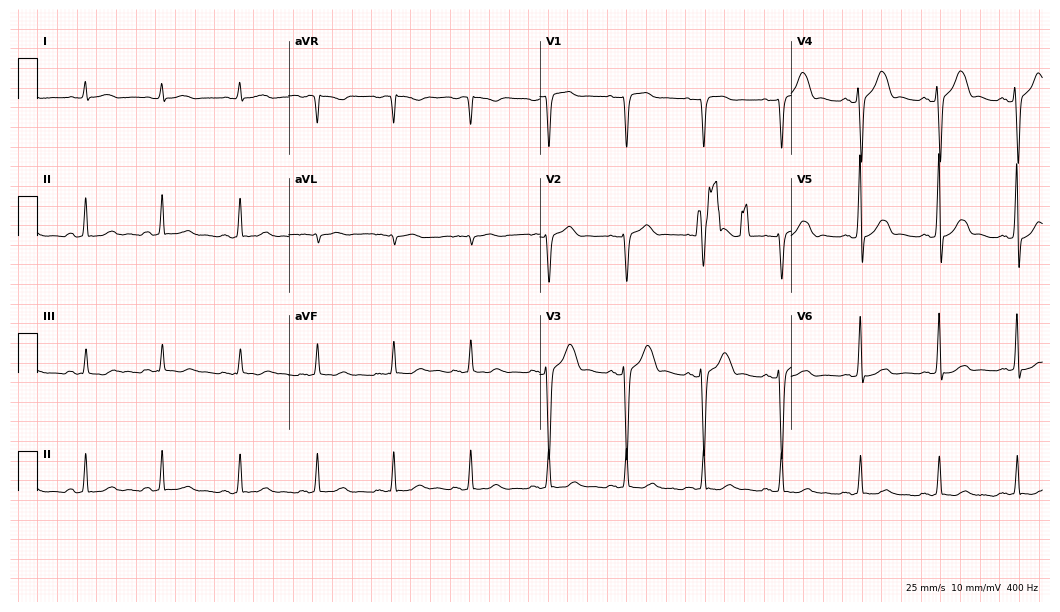
12-lead ECG from a male, 61 years old (10.2-second recording at 400 Hz). Recorded interpretation: within normal limits.